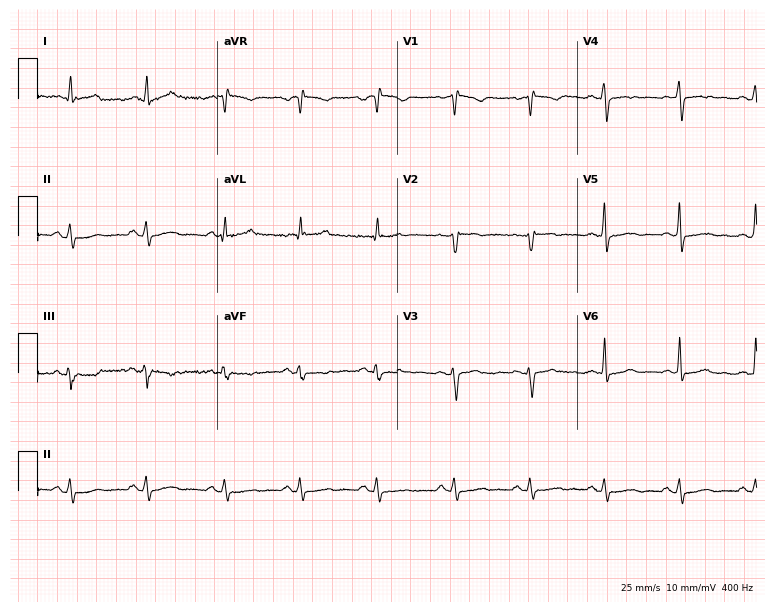
12-lead ECG from a woman, 47 years old. No first-degree AV block, right bundle branch block, left bundle branch block, sinus bradycardia, atrial fibrillation or sinus tachycardia recorded for this tracing. Findings outside these six are not listed.